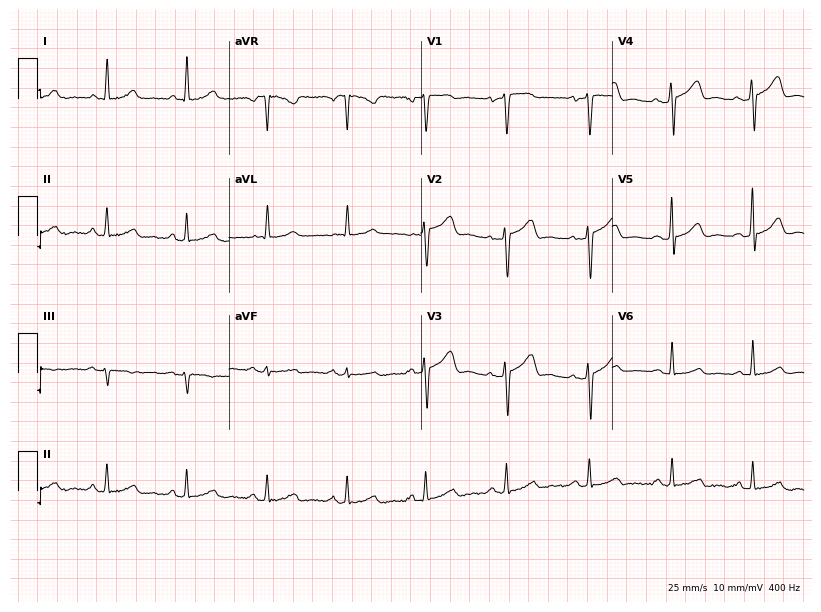
Resting 12-lead electrocardiogram. Patient: a female, 47 years old. None of these six findings is recorded: first-degree AV block, right bundle branch block, left bundle branch block, sinus bradycardia, atrial fibrillation, sinus tachycardia.